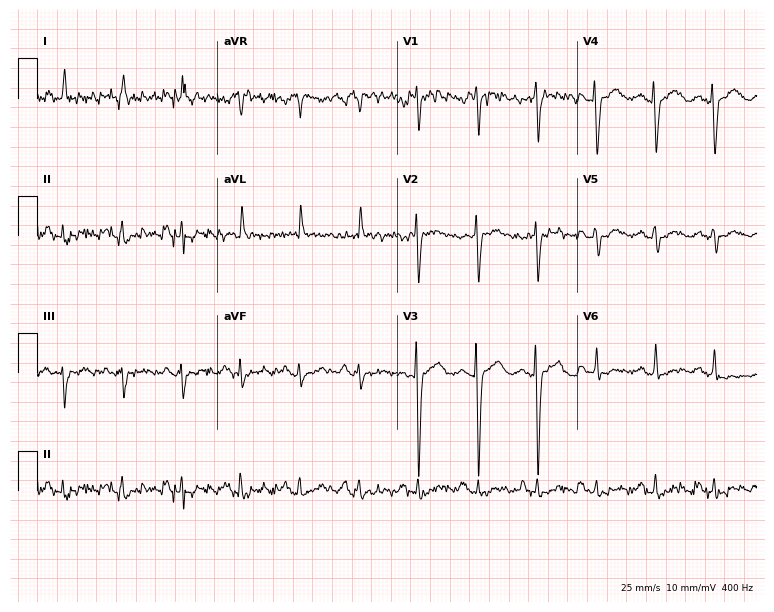
ECG — a 58-year-old woman. Screened for six findings — first-degree AV block, right bundle branch block, left bundle branch block, sinus bradycardia, atrial fibrillation, sinus tachycardia — none is recorded. Findings outside these six are not listed.